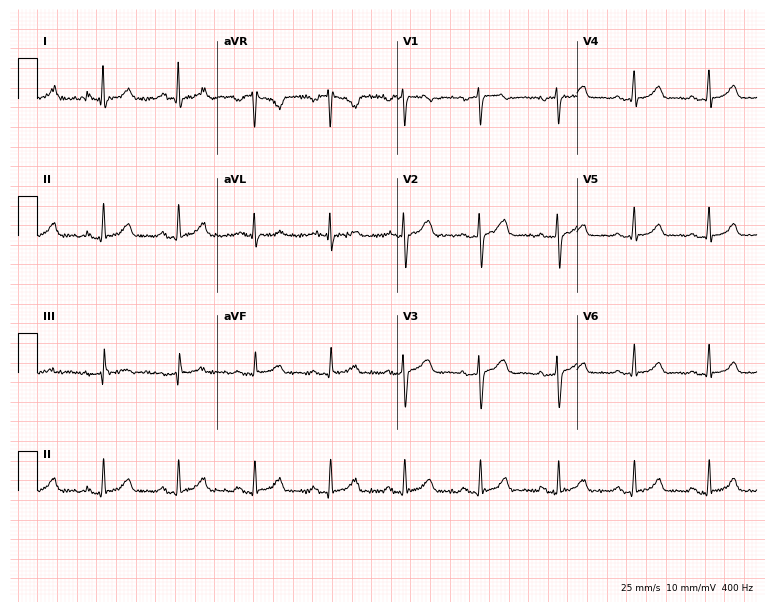
12-lead ECG from a woman, 44 years old. Labelled as a normal ECG.